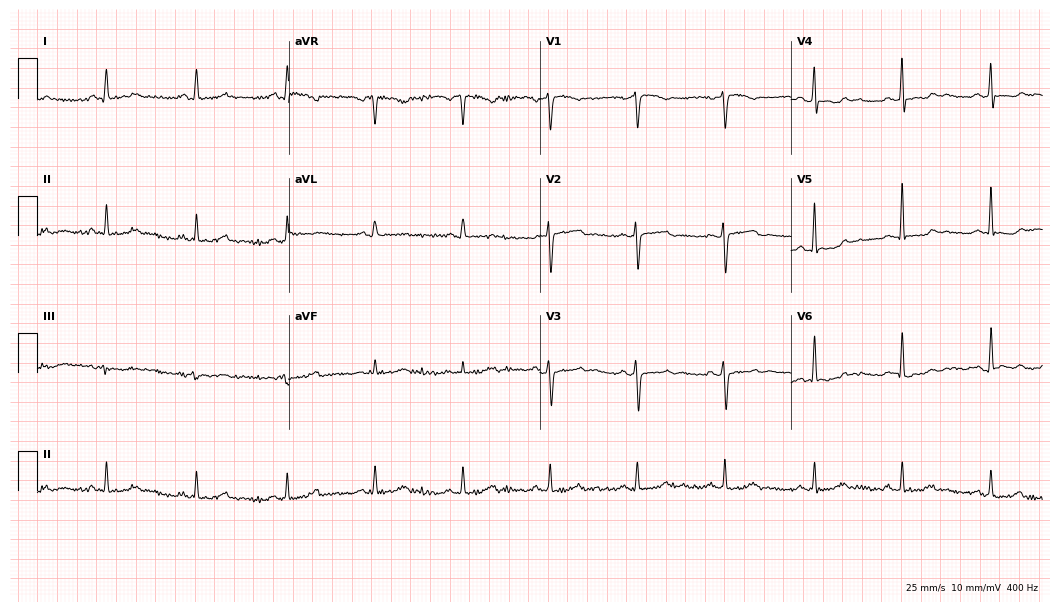
ECG — a 58-year-old female. Screened for six findings — first-degree AV block, right bundle branch block, left bundle branch block, sinus bradycardia, atrial fibrillation, sinus tachycardia — none is recorded.